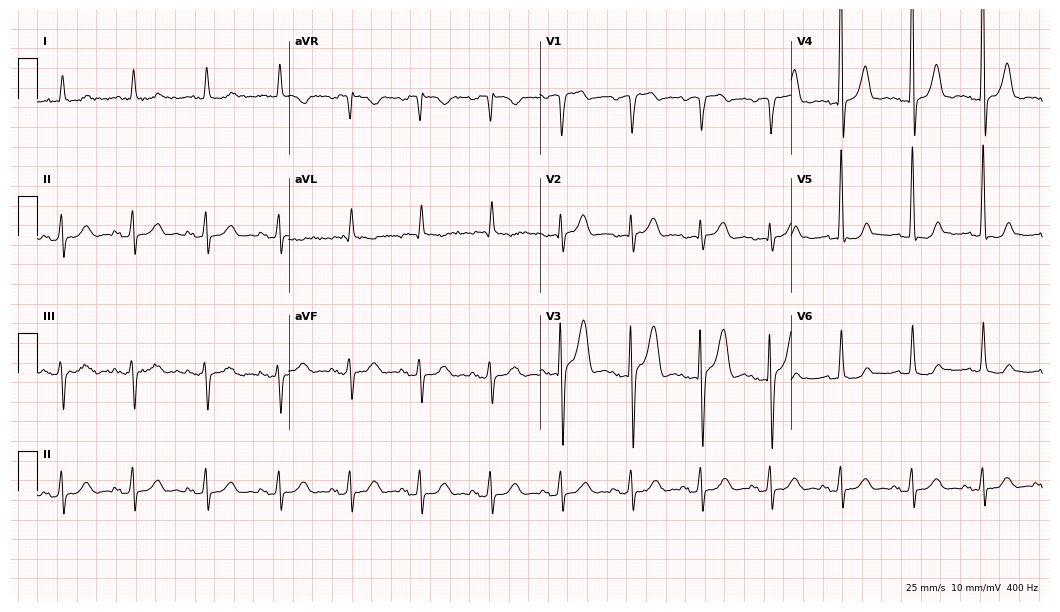
Electrocardiogram, a man, 52 years old. Of the six screened findings (first-degree AV block, right bundle branch block (RBBB), left bundle branch block (LBBB), sinus bradycardia, atrial fibrillation (AF), sinus tachycardia), none is recorded. Only these six findings were labelled.